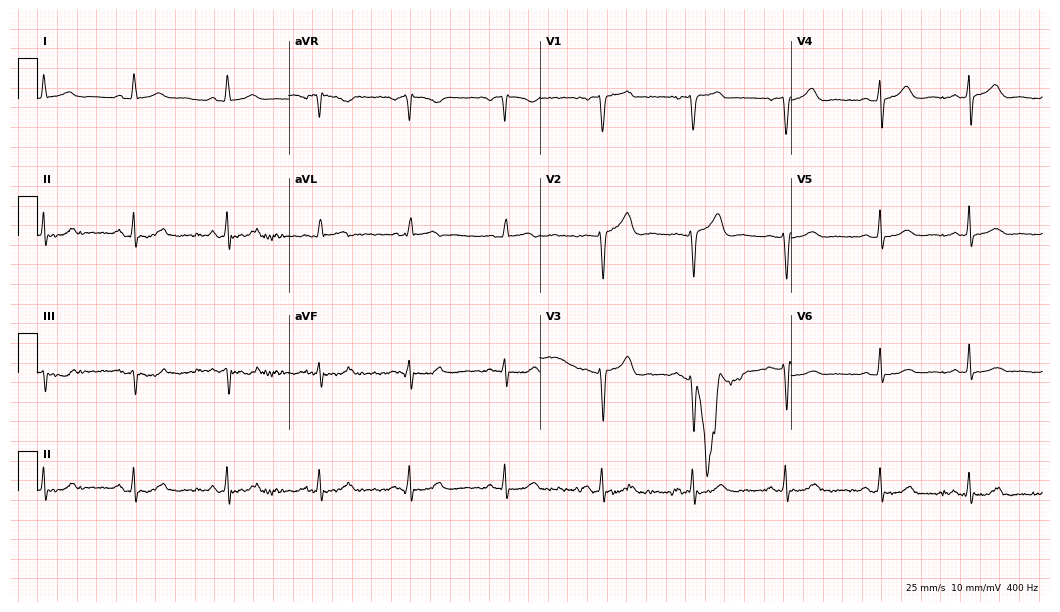
ECG (10.2-second recording at 400 Hz) — a 57-year-old woman. Screened for six findings — first-degree AV block, right bundle branch block, left bundle branch block, sinus bradycardia, atrial fibrillation, sinus tachycardia — none is recorded.